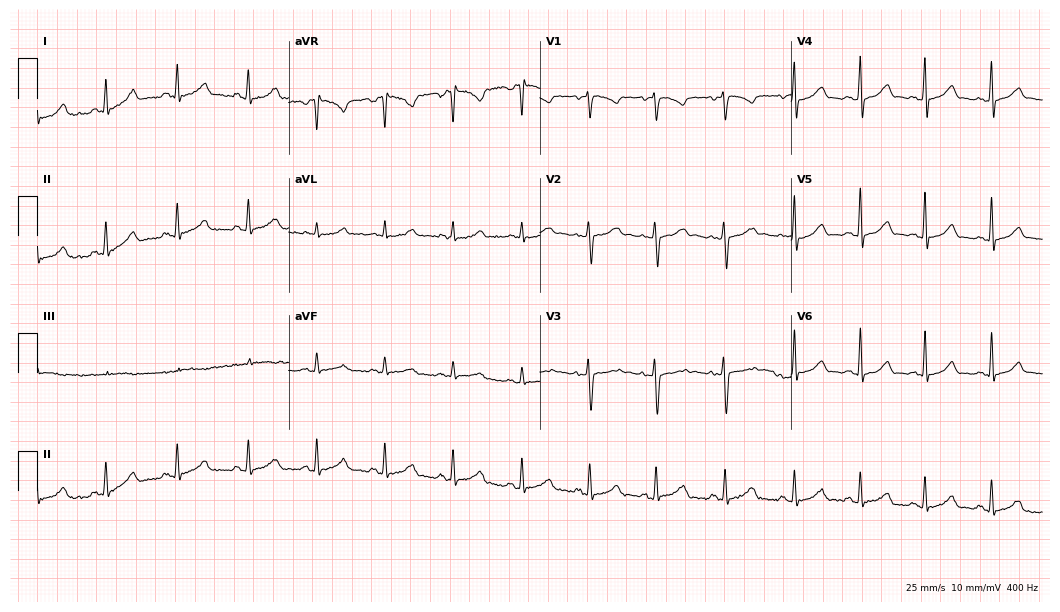
Standard 12-lead ECG recorded from a 23-year-old female patient (10.2-second recording at 400 Hz). Read as a normal ECG.